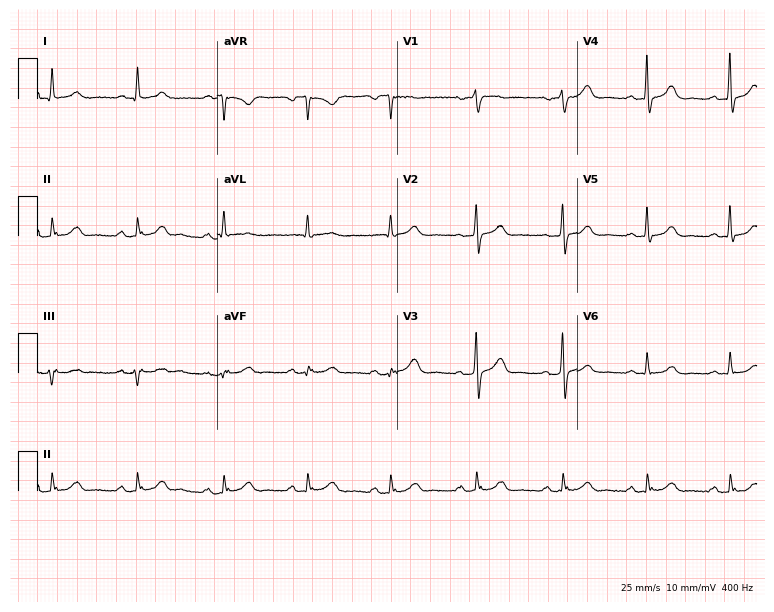
12-lead ECG (7.3-second recording at 400 Hz) from a 69-year-old woman. Labelled as a normal ECG.